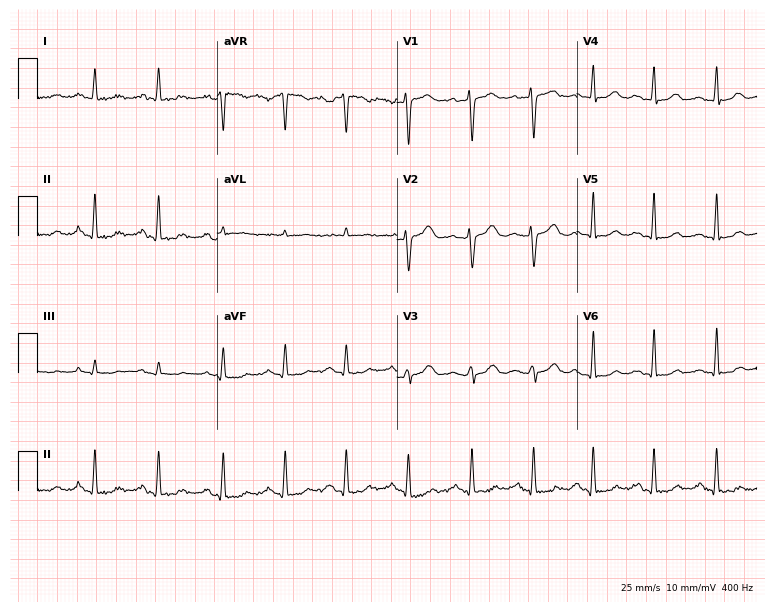
ECG (7.3-second recording at 400 Hz) — a 40-year-old woman. Screened for six findings — first-degree AV block, right bundle branch block, left bundle branch block, sinus bradycardia, atrial fibrillation, sinus tachycardia — none is recorded. Other findings, if any, are not listed.